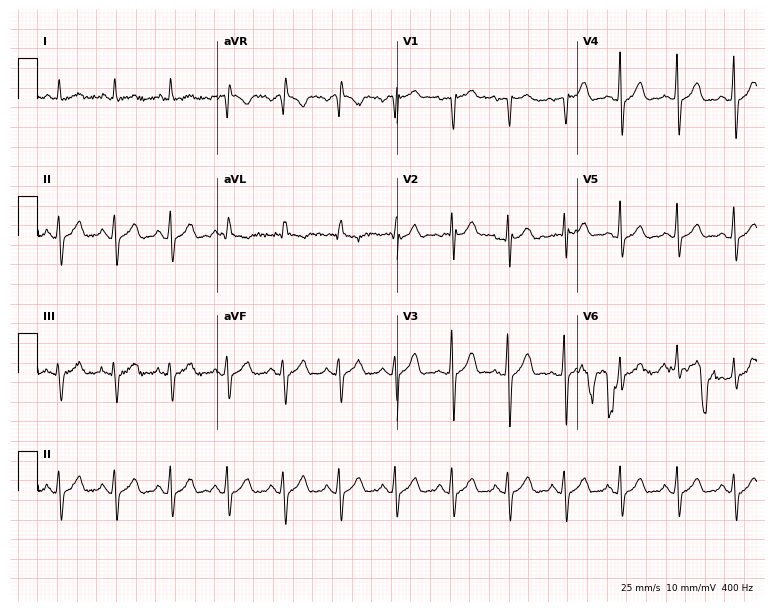
12-lead ECG (7.3-second recording at 400 Hz) from a male patient, 72 years old. Screened for six findings — first-degree AV block, right bundle branch block, left bundle branch block, sinus bradycardia, atrial fibrillation, sinus tachycardia — none is recorded. Only these six findings were labelled.